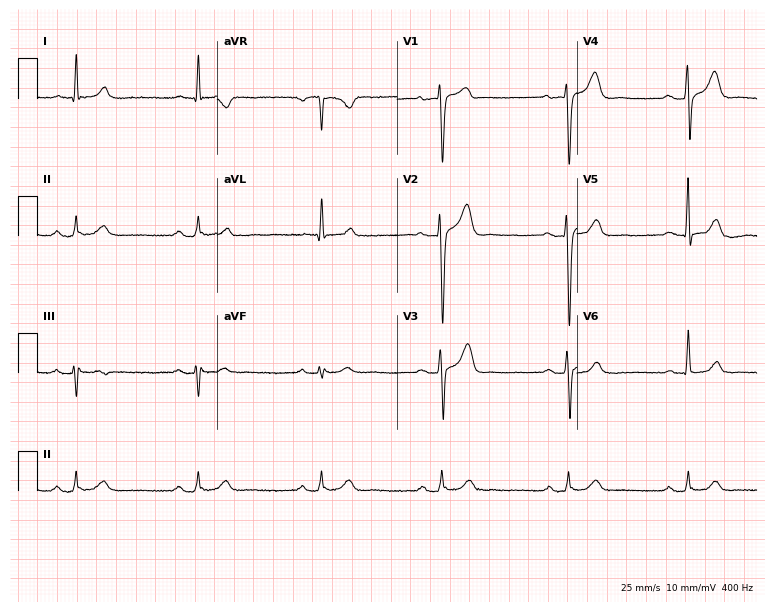
12-lead ECG from a 58-year-old male patient. No first-degree AV block, right bundle branch block, left bundle branch block, sinus bradycardia, atrial fibrillation or sinus tachycardia recorded for this tracing.